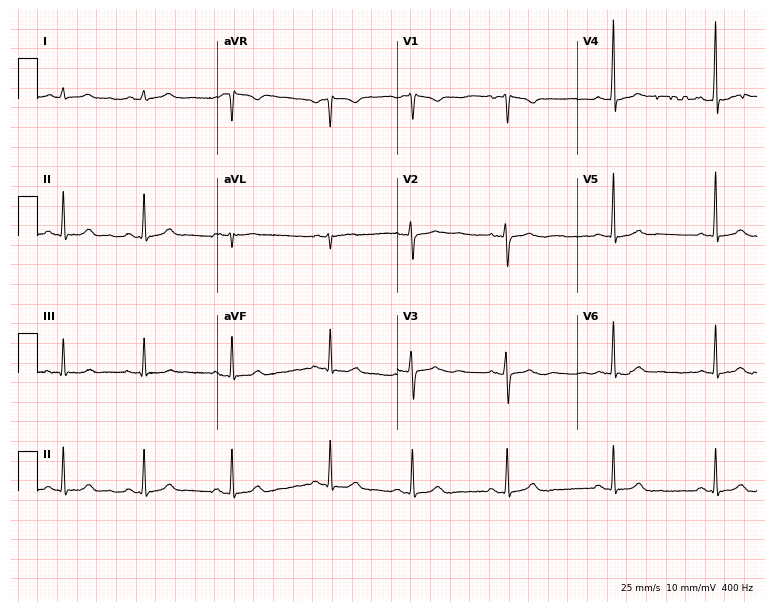
Resting 12-lead electrocardiogram. Patient: a woman, 17 years old. Read as a normal ECG.